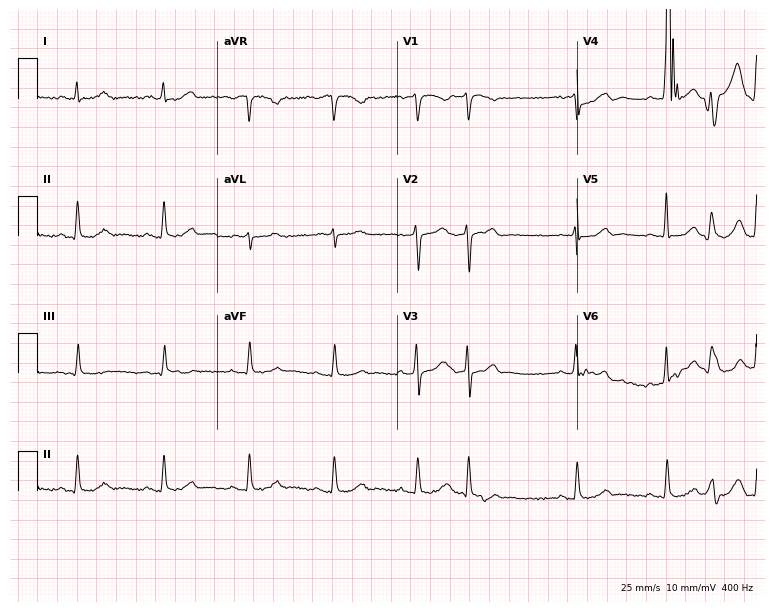
12-lead ECG from a man, 63 years old. No first-degree AV block, right bundle branch block, left bundle branch block, sinus bradycardia, atrial fibrillation or sinus tachycardia recorded for this tracing. Only these six findings were labelled.